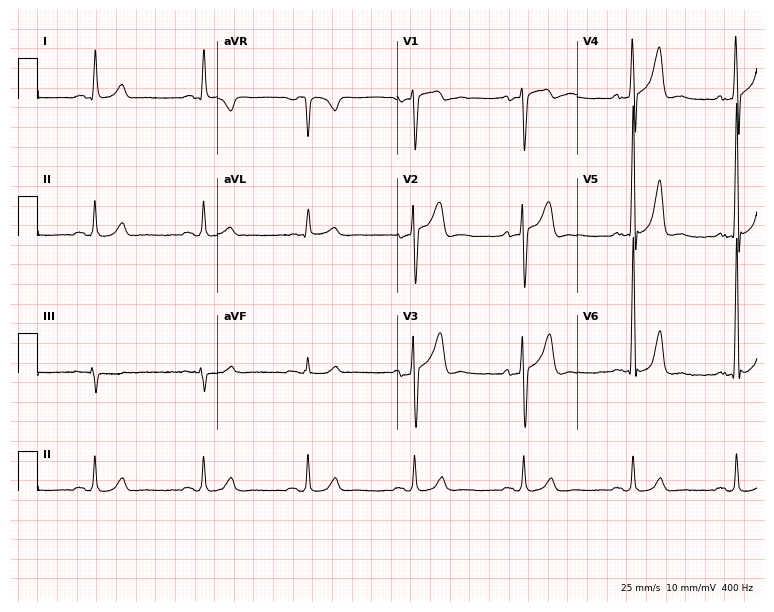
Resting 12-lead electrocardiogram. Patient: a male, 60 years old. None of these six findings is recorded: first-degree AV block, right bundle branch block, left bundle branch block, sinus bradycardia, atrial fibrillation, sinus tachycardia. Findings outside these six are not listed.